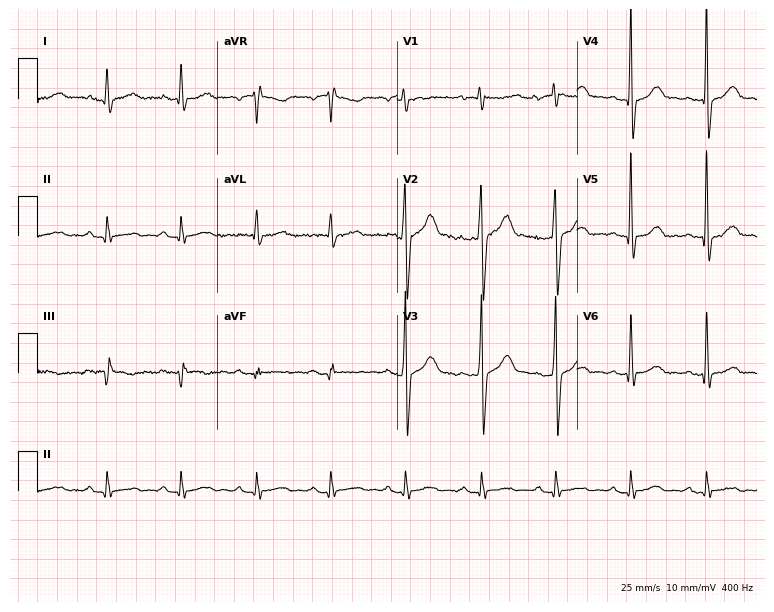
Standard 12-lead ECG recorded from a 41-year-old man (7.3-second recording at 400 Hz). Read as a normal ECG.